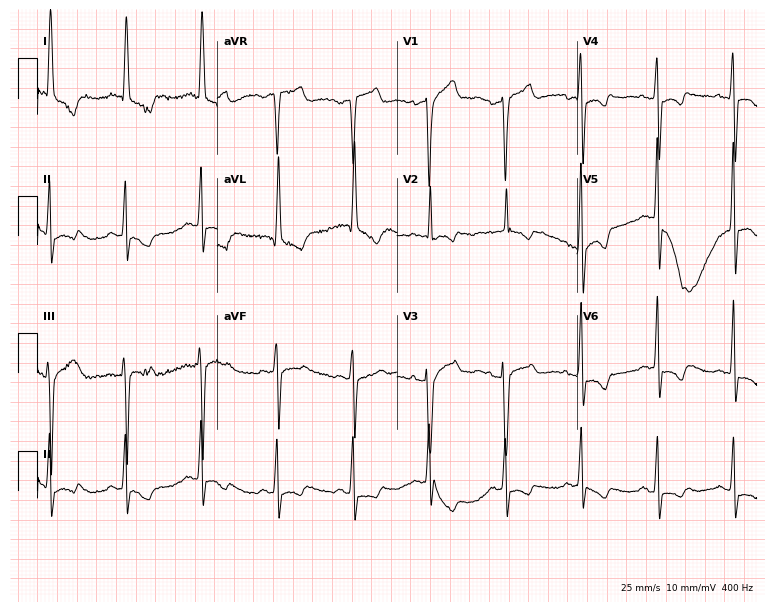
Standard 12-lead ECG recorded from a woman, 73 years old (7.3-second recording at 400 Hz). None of these six findings is recorded: first-degree AV block, right bundle branch block (RBBB), left bundle branch block (LBBB), sinus bradycardia, atrial fibrillation (AF), sinus tachycardia.